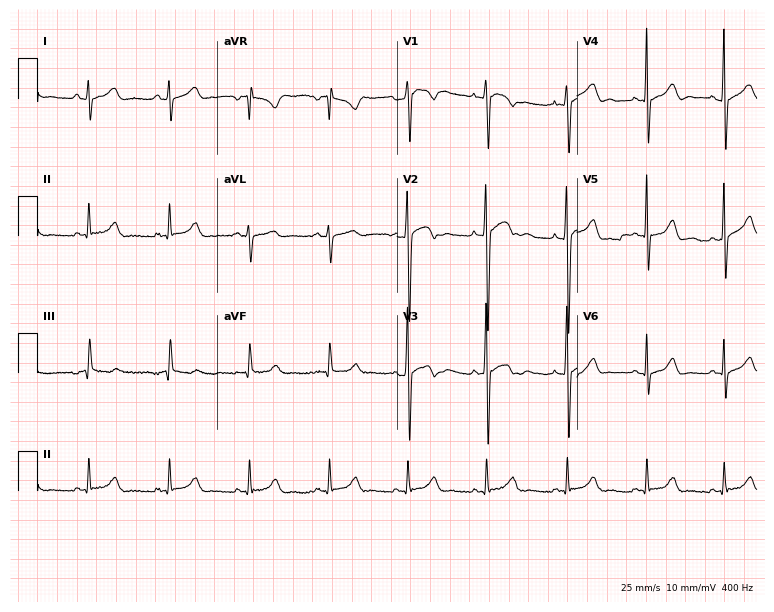
12-lead ECG (7.3-second recording at 400 Hz) from a male, 17 years old. Labelled as a normal ECG.